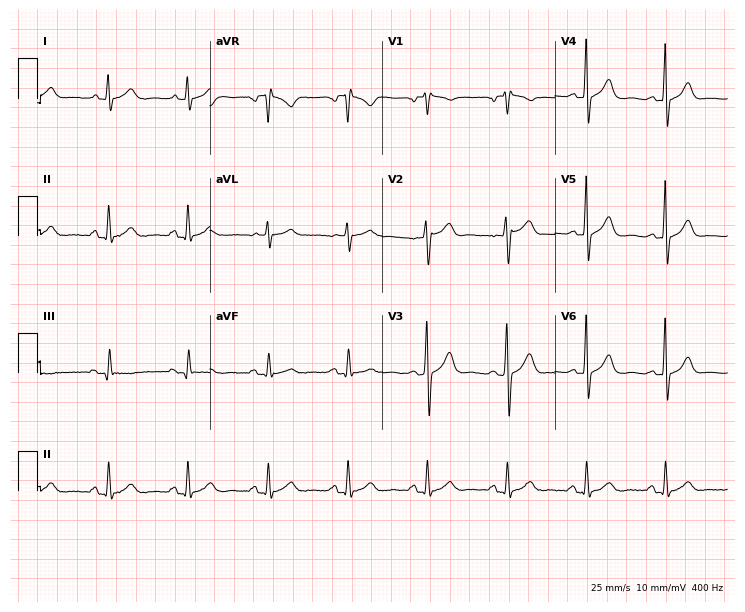
12-lead ECG from a 26-year-old male. Recorded interpretation: within normal limits.